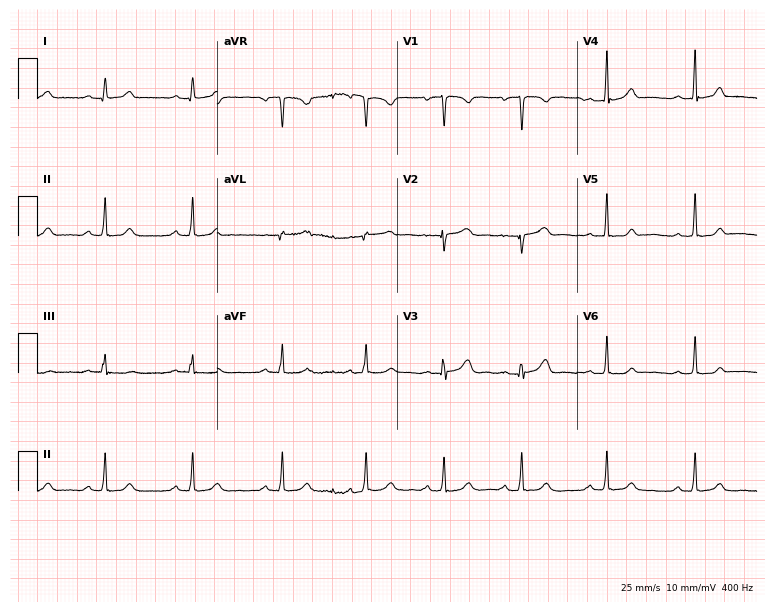
Standard 12-lead ECG recorded from a 26-year-old female patient. None of these six findings is recorded: first-degree AV block, right bundle branch block, left bundle branch block, sinus bradycardia, atrial fibrillation, sinus tachycardia. Other findings, if any, are not listed.